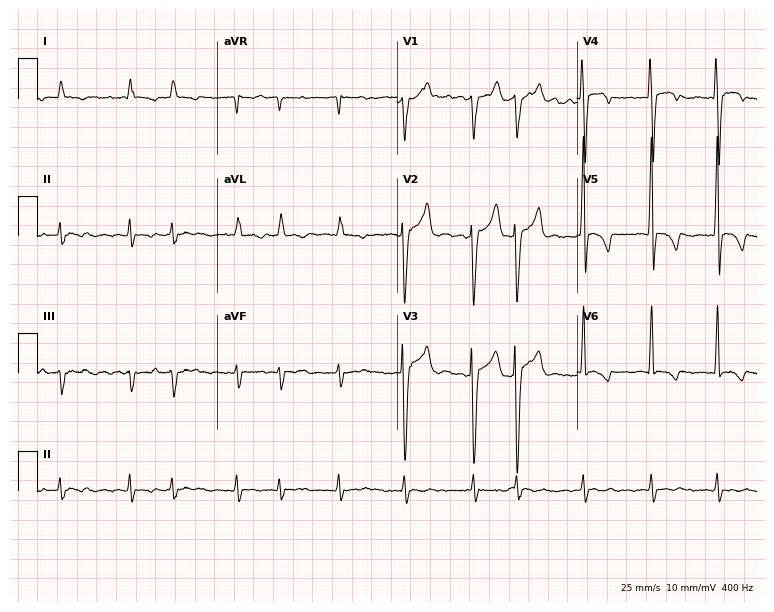
ECG — a 71-year-old man. Findings include atrial fibrillation (AF).